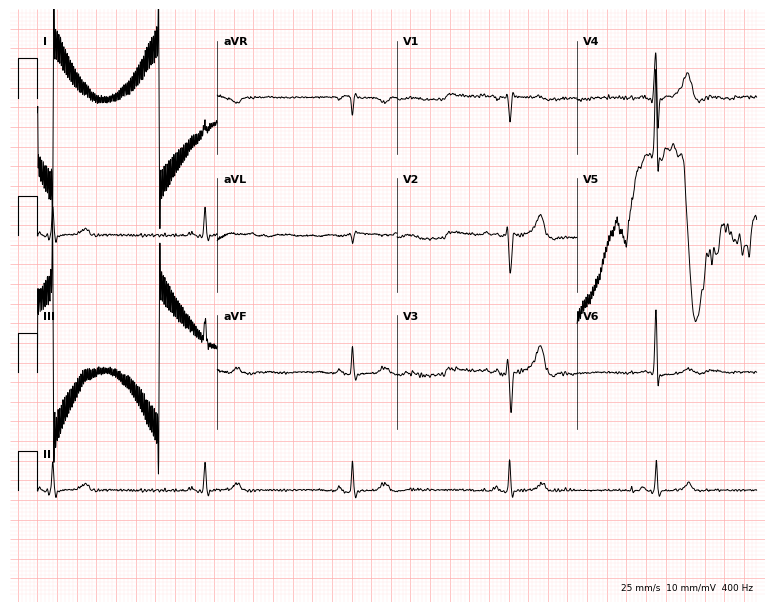
Resting 12-lead electrocardiogram (7.3-second recording at 400 Hz). Patient: a 37-year-old male. The tracing shows atrial fibrillation (AF).